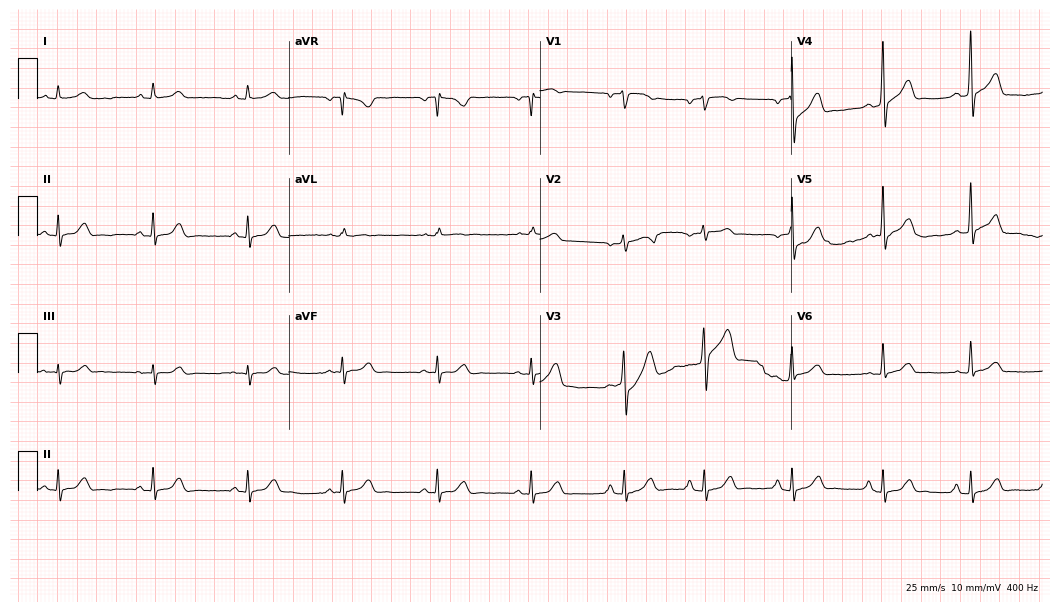
12-lead ECG (10.2-second recording at 400 Hz) from a 69-year-old man. Screened for six findings — first-degree AV block, right bundle branch block (RBBB), left bundle branch block (LBBB), sinus bradycardia, atrial fibrillation (AF), sinus tachycardia — none is recorded. Other findings, if any, are not listed.